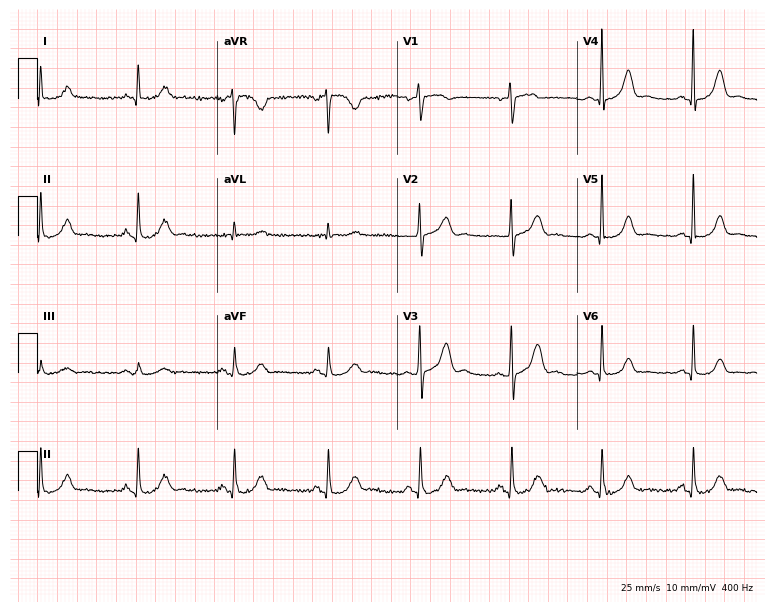
Standard 12-lead ECG recorded from a man, 73 years old. None of these six findings is recorded: first-degree AV block, right bundle branch block (RBBB), left bundle branch block (LBBB), sinus bradycardia, atrial fibrillation (AF), sinus tachycardia. Findings outside these six are not listed.